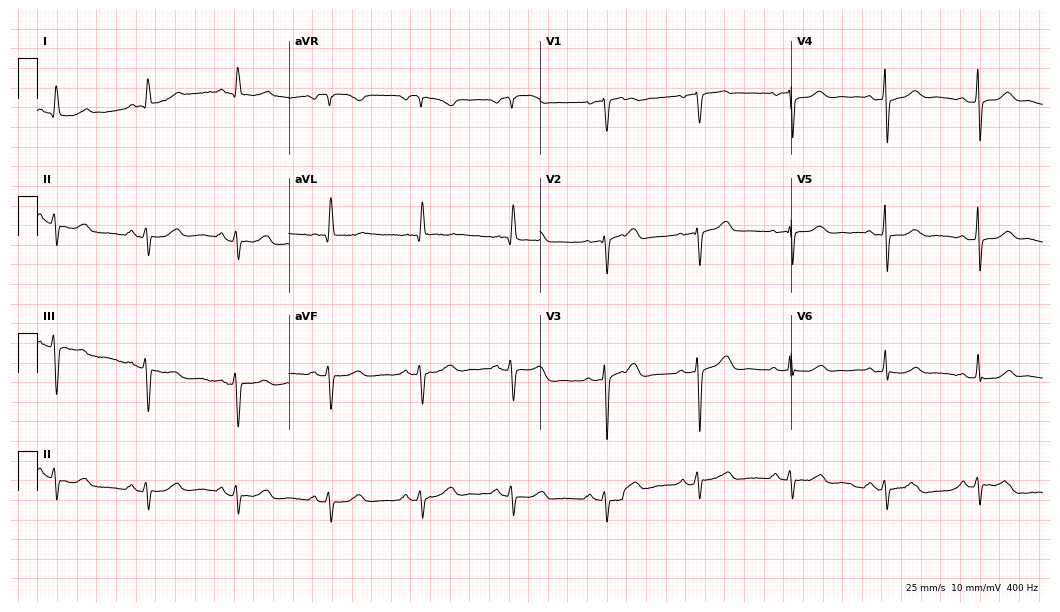
ECG (10.2-second recording at 400 Hz) — a woman, 70 years old. Screened for six findings — first-degree AV block, right bundle branch block, left bundle branch block, sinus bradycardia, atrial fibrillation, sinus tachycardia — none is recorded. Other findings, if any, are not listed.